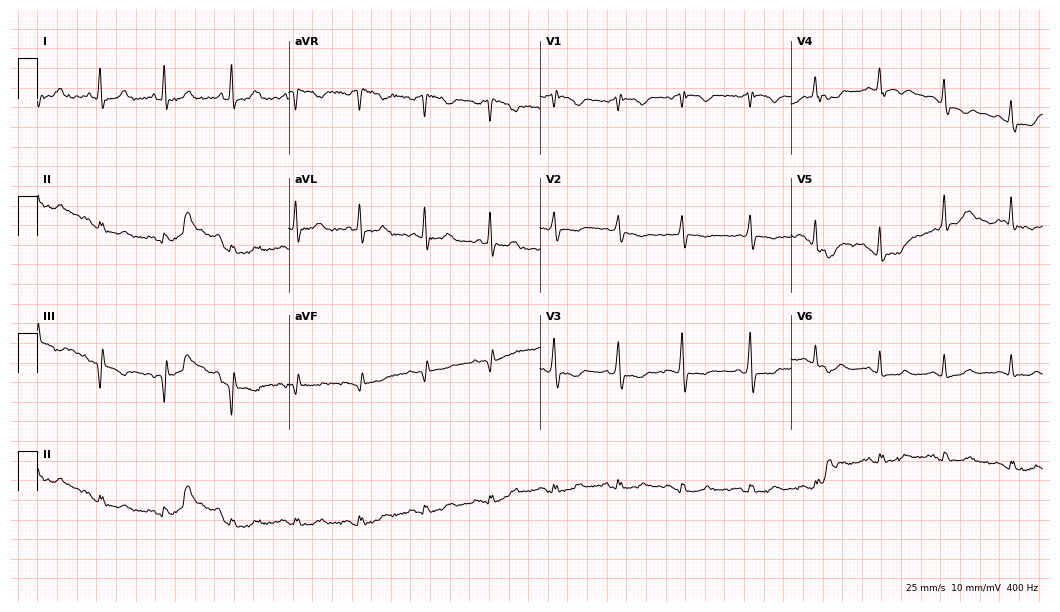
Standard 12-lead ECG recorded from a 74-year-old man. None of these six findings is recorded: first-degree AV block, right bundle branch block (RBBB), left bundle branch block (LBBB), sinus bradycardia, atrial fibrillation (AF), sinus tachycardia. Only these six findings were labelled.